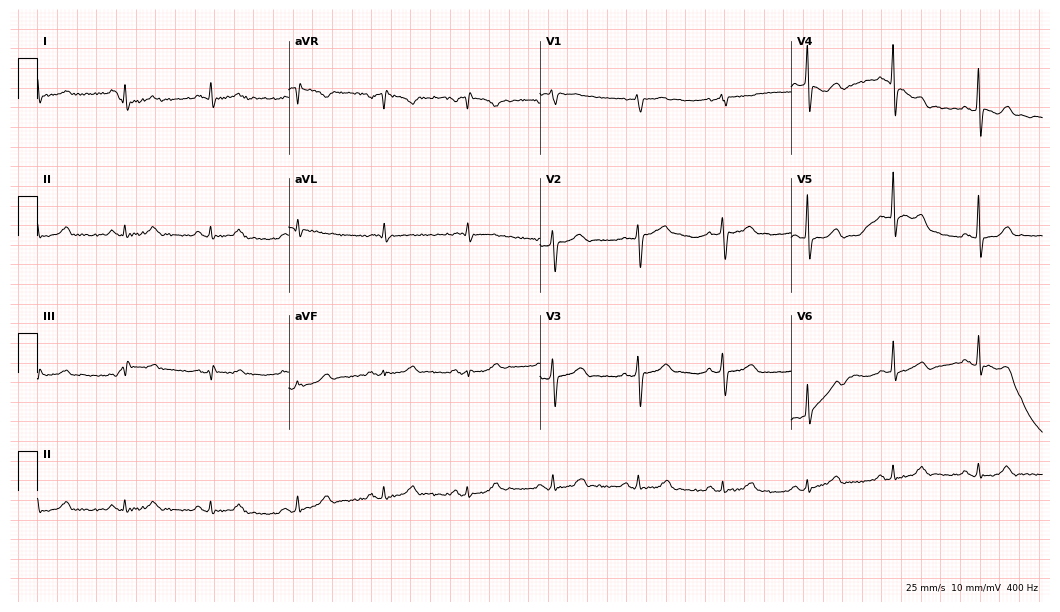
12-lead ECG from a 62-year-old man (10.2-second recording at 400 Hz). Recorded interpretation: within normal limits.